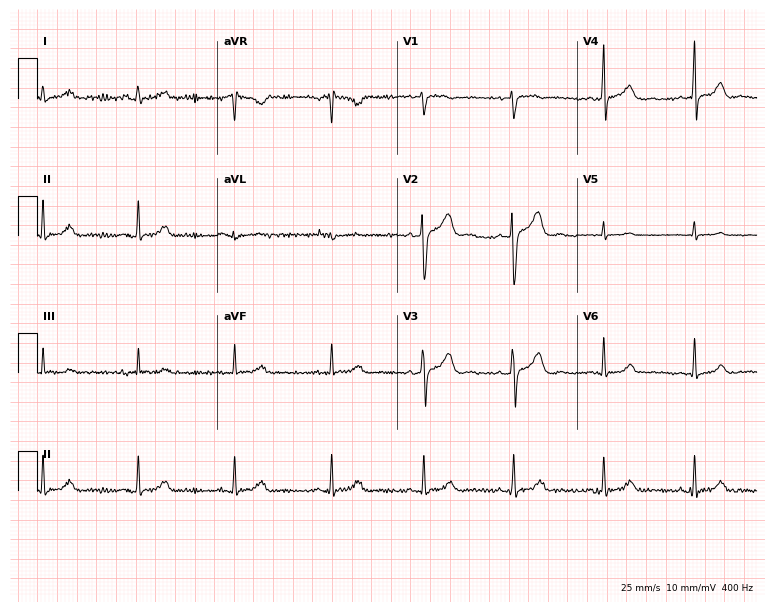
12-lead ECG (7.3-second recording at 400 Hz) from a 41-year-old woman. Labelled as a normal ECG.